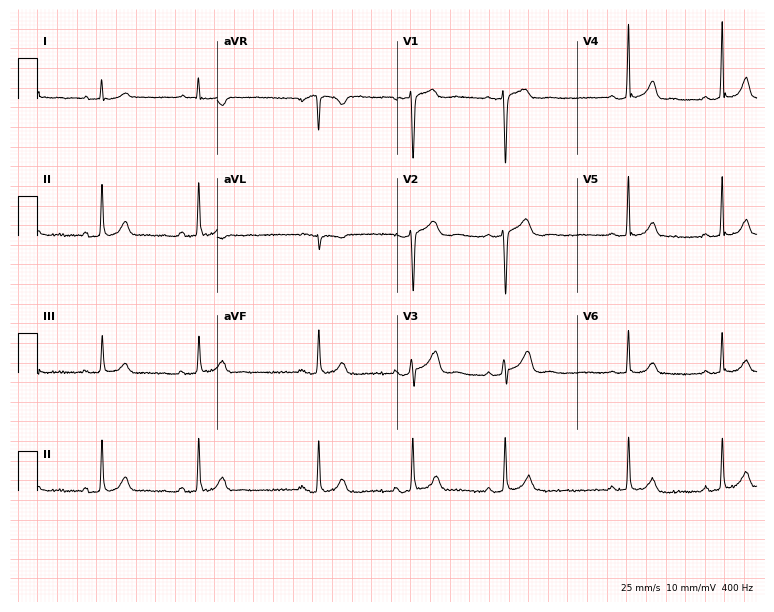
Standard 12-lead ECG recorded from a female patient, 18 years old. Read as a normal ECG.